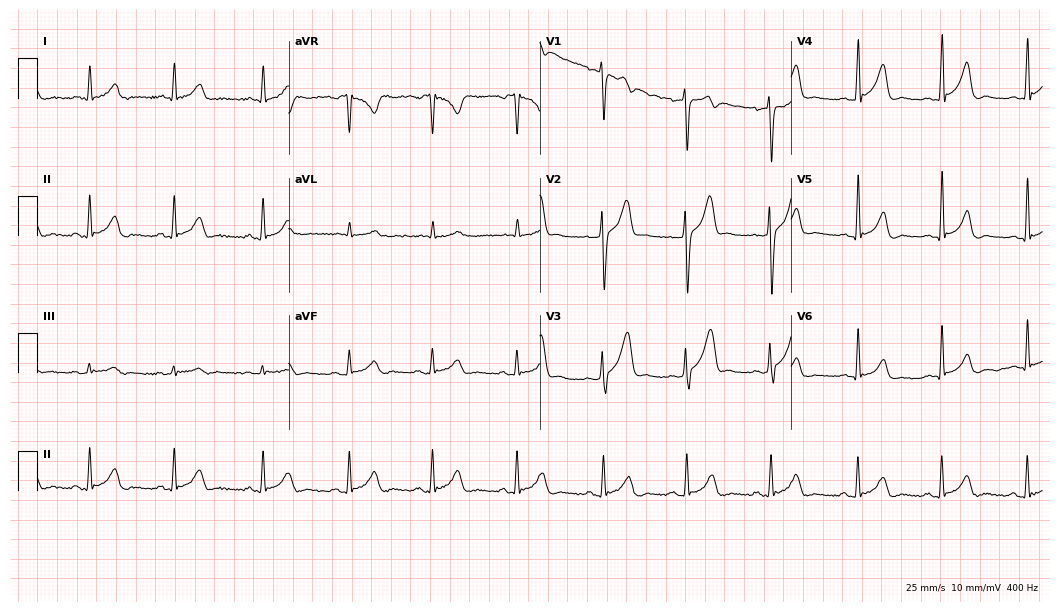
ECG — a 35-year-old man. Labelled as a normal ECG.